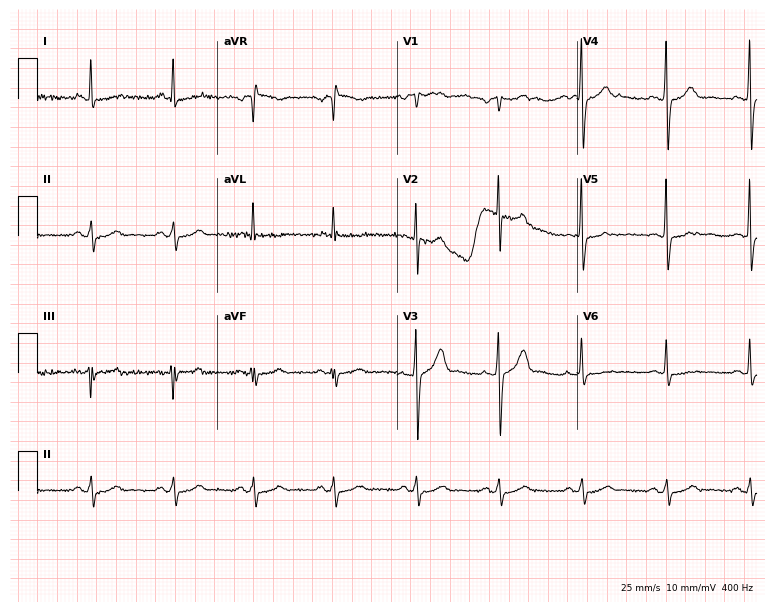
Standard 12-lead ECG recorded from a 53-year-old man (7.3-second recording at 400 Hz). None of these six findings is recorded: first-degree AV block, right bundle branch block, left bundle branch block, sinus bradycardia, atrial fibrillation, sinus tachycardia.